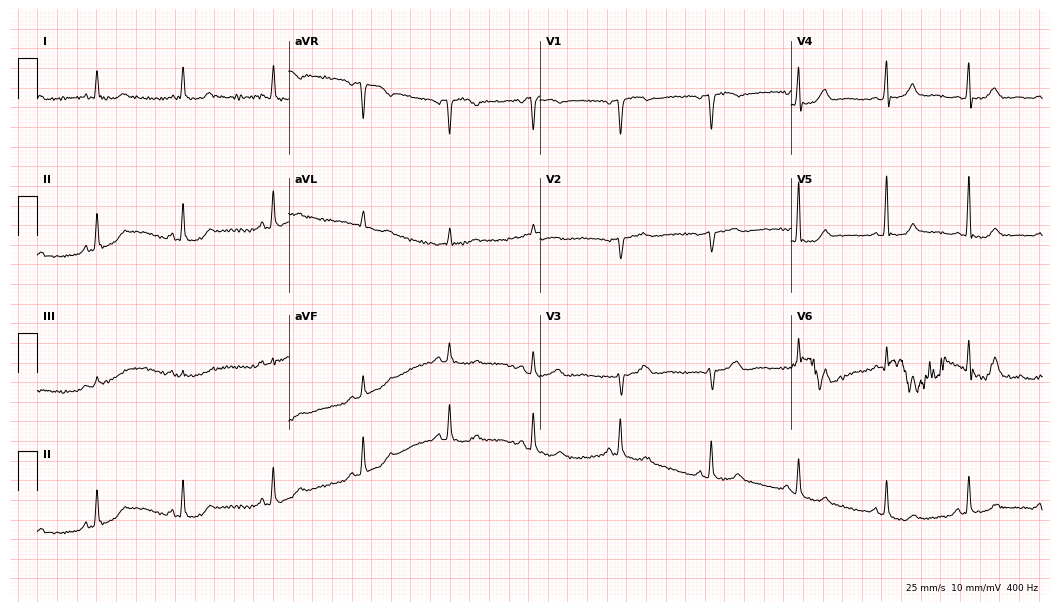
12-lead ECG from a 70-year-old woman. Labelled as a normal ECG.